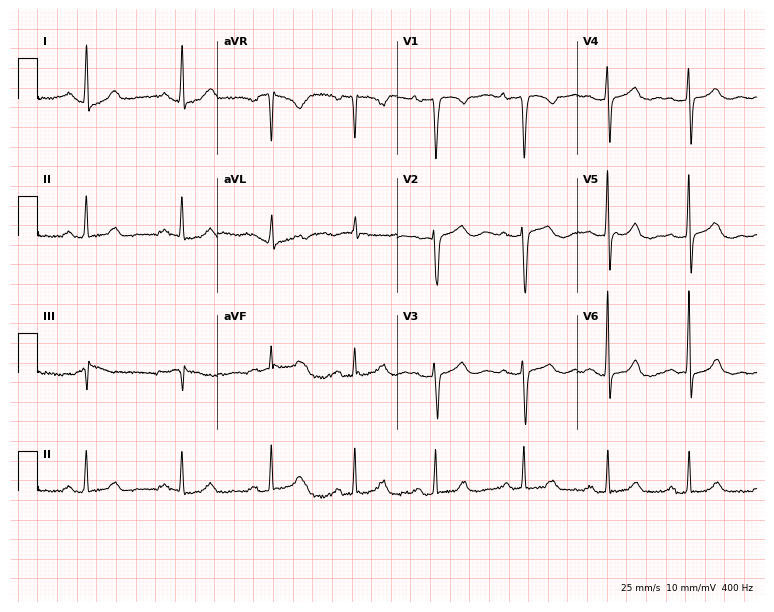
Standard 12-lead ECG recorded from a 54-year-old woman (7.3-second recording at 400 Hz). None of these six findings is recorded: first-degree AV block, right bundle branch block, left bundle branch block, sinus bradycardia, atrial fibrillation, sinus tachycardia.